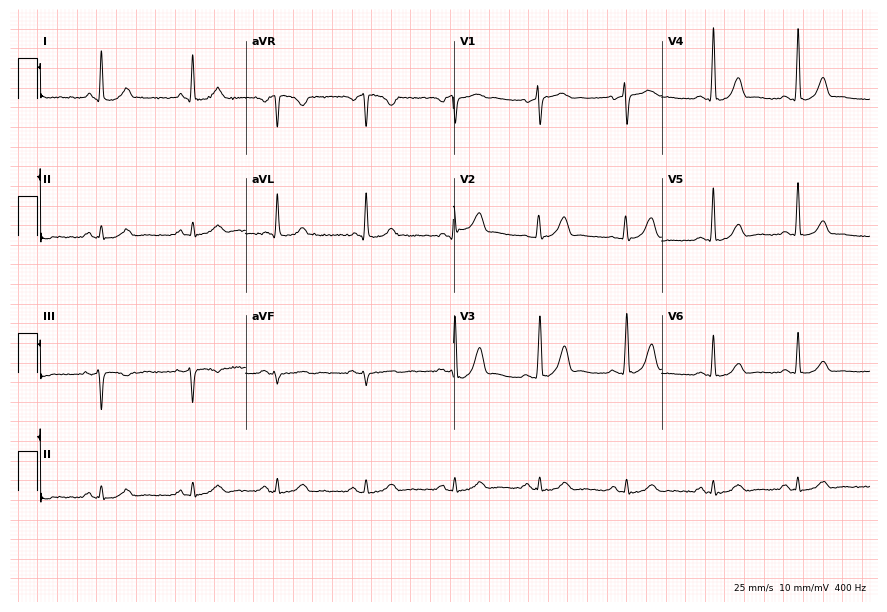
12-lead ECG from a 39-year-old female. No first-degree AV block, right bundle branch block, left bundle branch block, sinus bradycardia, atrial fibrillation or sinus tachycardia recorded for this tracing.